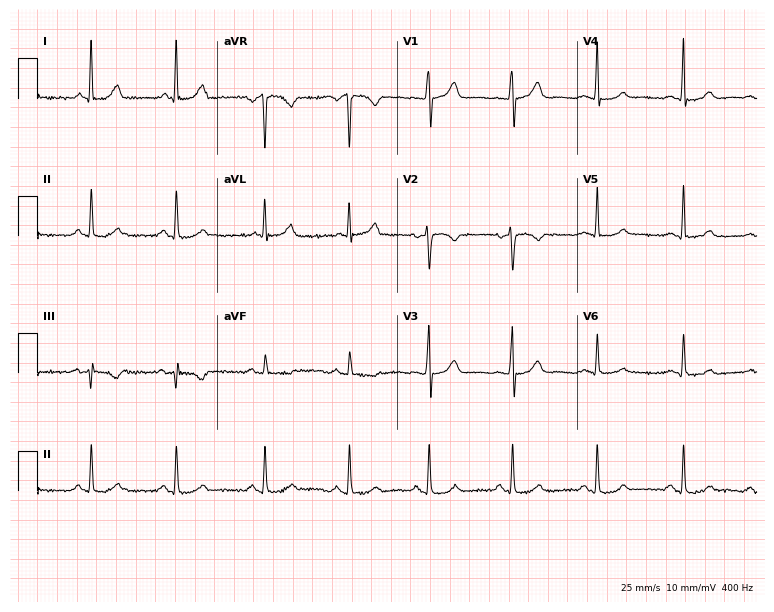
ECG — a 42-year-old female. Labelled as a normal ECG.